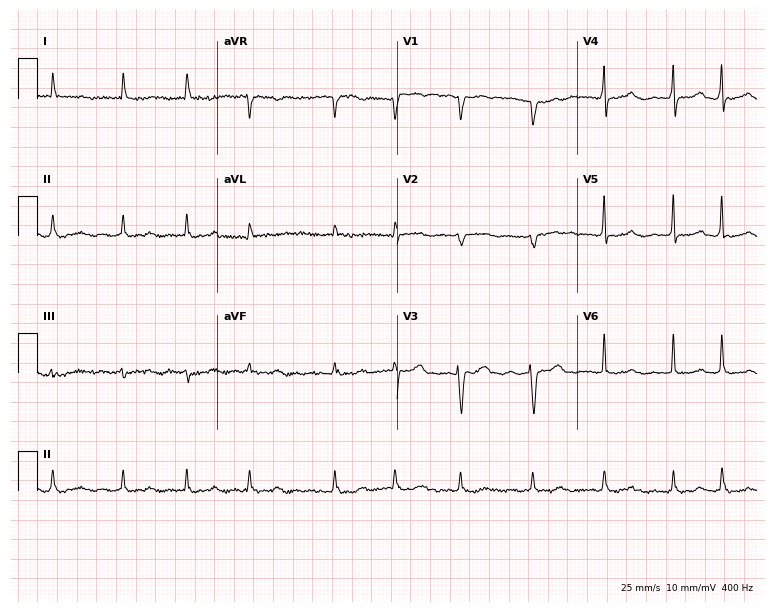
Resting 12-lead electrocardiogram (7.3-second recording at 400 Hz). Patient: a woman, 74 years old. The tracing shows atrial fibrillation.